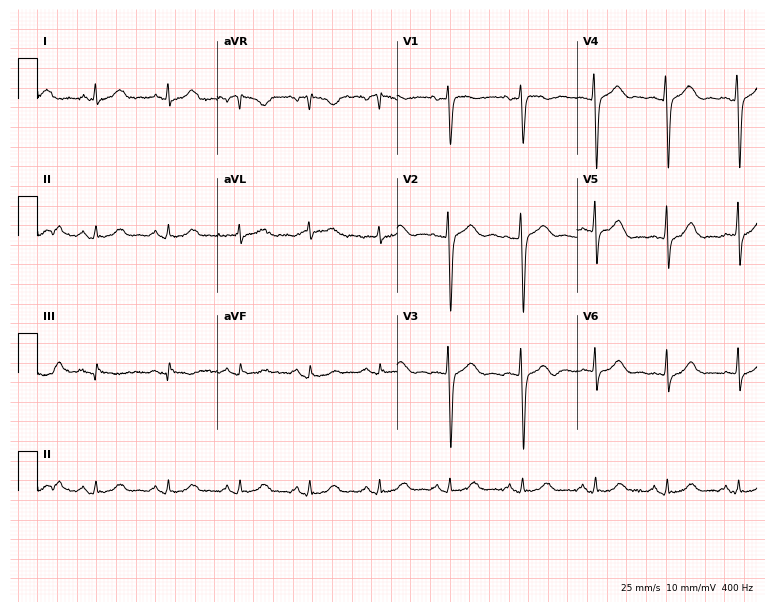
12-lead ECG (7.3-second recording at 400 Hz) from a 52-year-old female. Screened for six findings — first-degree AV block, right bundle branch block, left bundle branch block, sinus bradycardia, atrial fibrillation, sinus tachycardia — none is recorded. Findings outside these six are not listed.